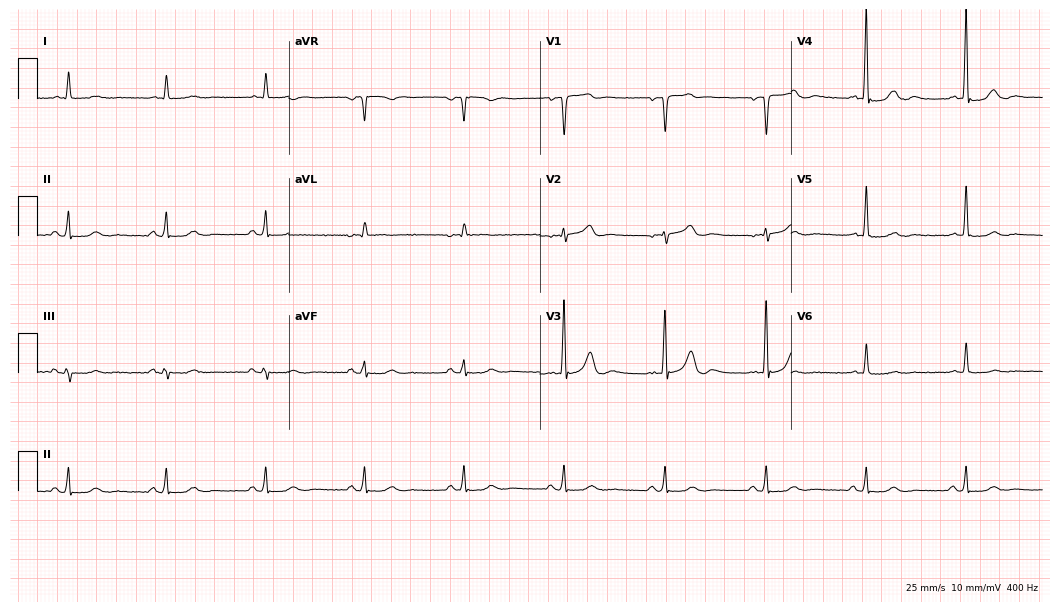
12-lead ECG from a 77-year-old male. Recorded interpretation: within normal limits.